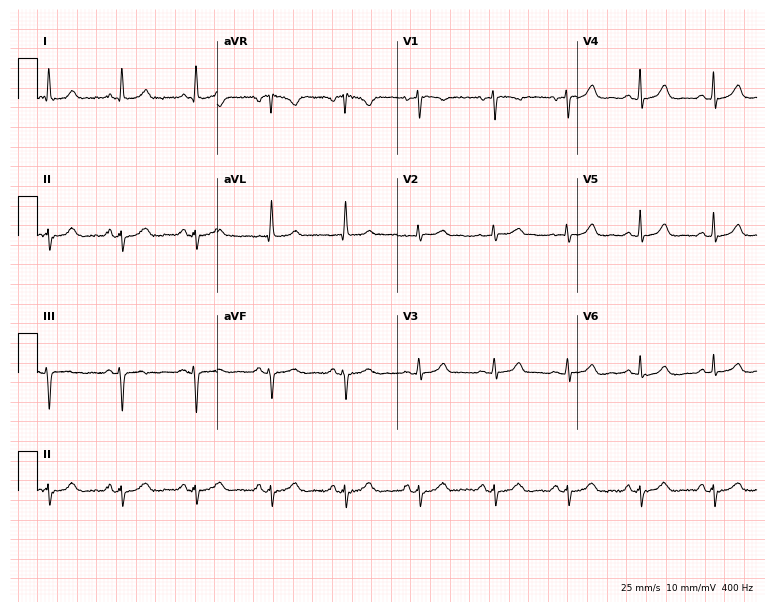
Electrocardiogram (7.3-second recording at 400 Hz), a 63-year-old woman. Of the six screened findings (first-degree AV block, right bundle branch block, left bundle branch block, sinus bradycardia, atrial fibrillation, sinus tachycardia), none is recorded. Other findings, if any, are not listed.